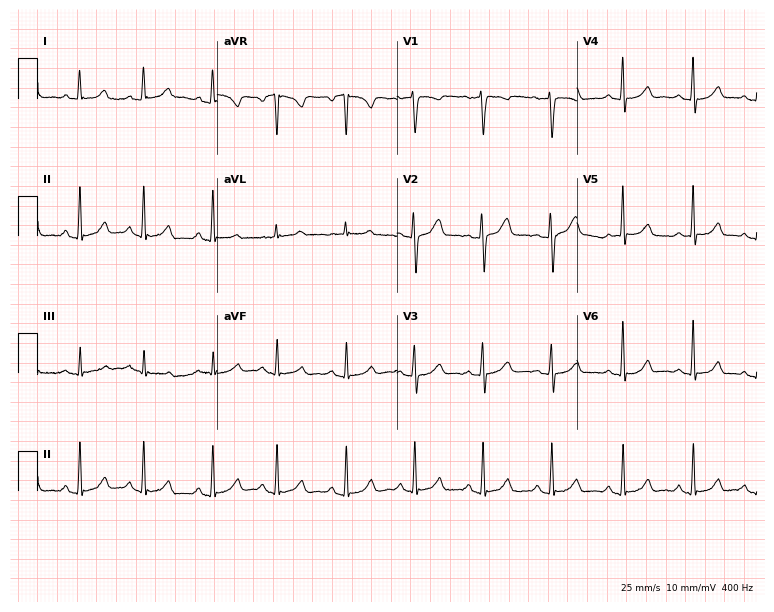
12-lead ECG from a 38-year-old female patient. Labelled as a normal ECG.